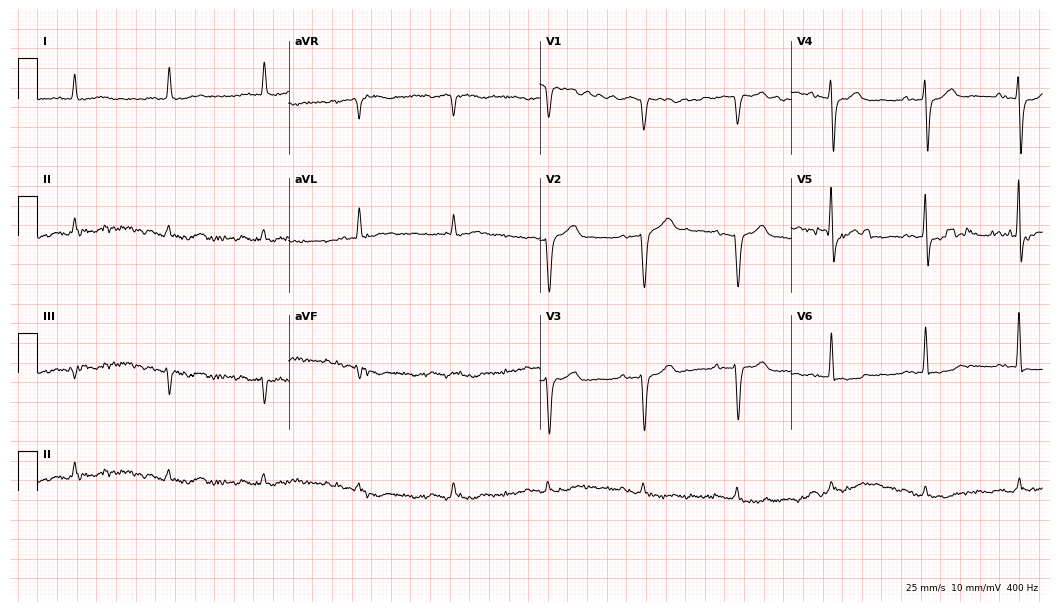
12-lead ECG (10.2-second recording at 400 Hz) from a man, 80 years old. Screened for six findings — first-degree AV block, right bundle branch block, left bundle branch block, sinus bradycardia, atrial fibrillation, sinus tachycardia — none is recorded.